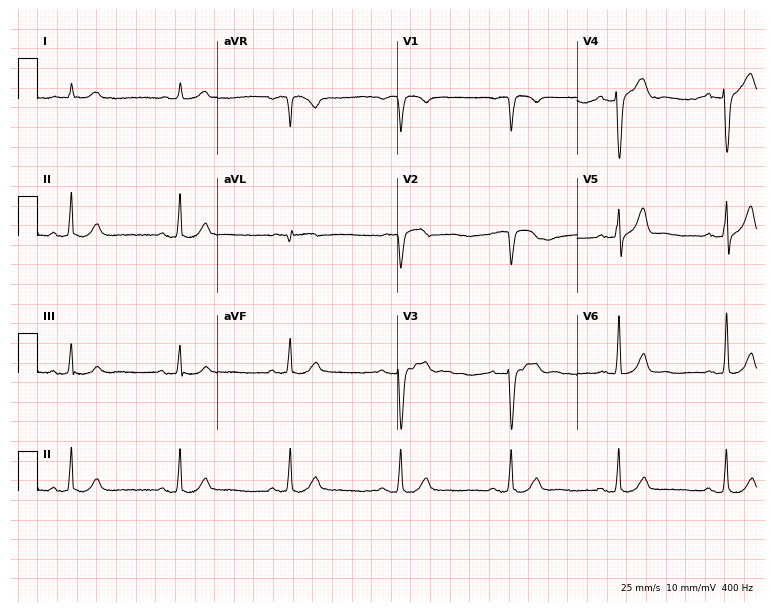
12-lead ECG from a 73-year-old male (7.3-second recording at 400 Hz). Recorded interpretation: within normal limits.